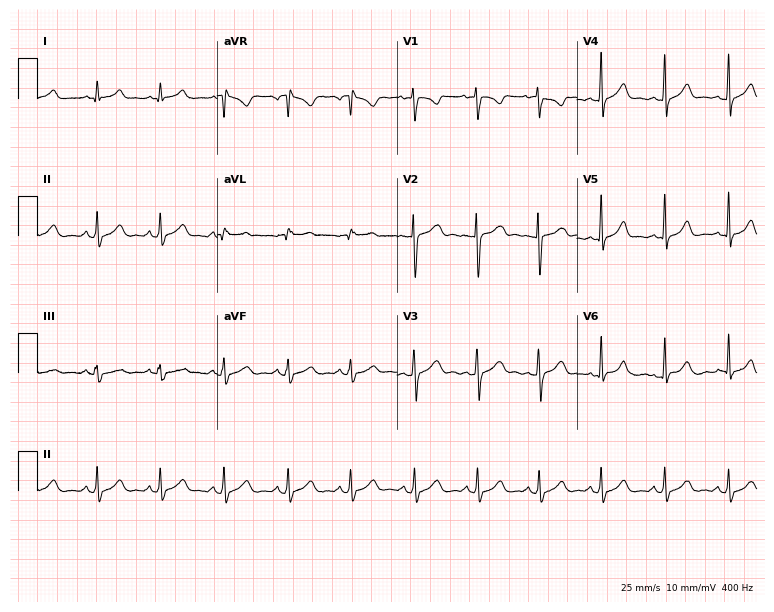
12-lead ECG from a woman, 20 years old. Labelled as a normal ECG.